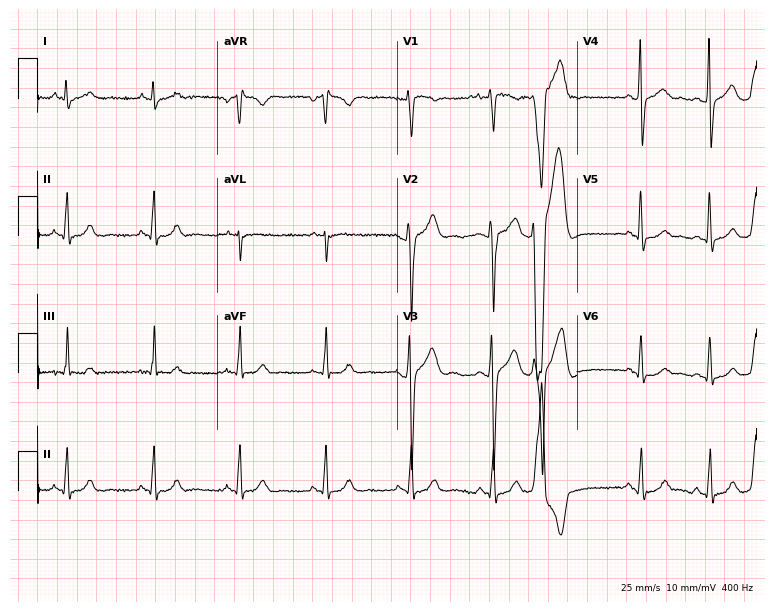
Electrocardiogram (7.3-second recording at 400 Hz), a male patient, 40 years old. Of the six screened findings (first-degree AV block, right bundle branch block, left bundle branch block, sinus bradycardia, atrial fibrillation, sinus tachycardia), none is recorded.